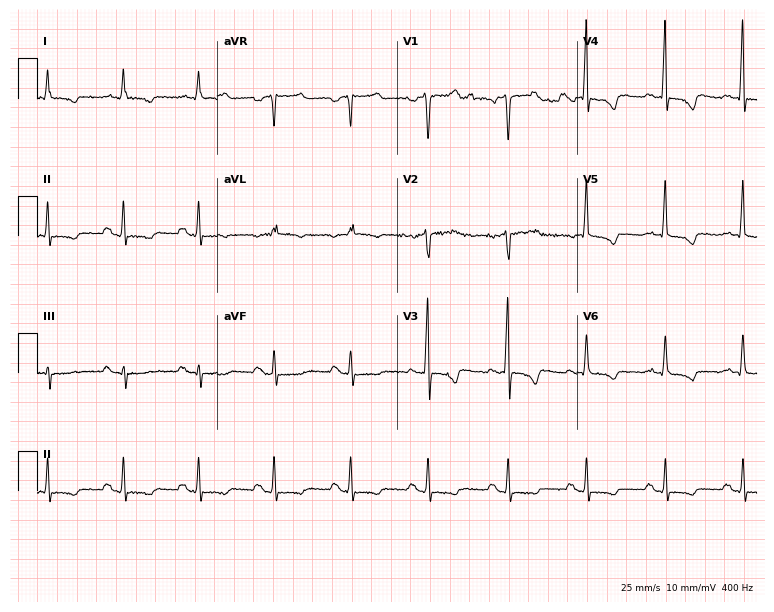
12-lead ECG from a 54-year-old female. Screened for six findings — first-degree AV block, right bundle branch block, left bundle branch block, sinus bradycardia, atrial fibrillation, sinus tachycardia — none is recorded. Only these six findings were labelled.